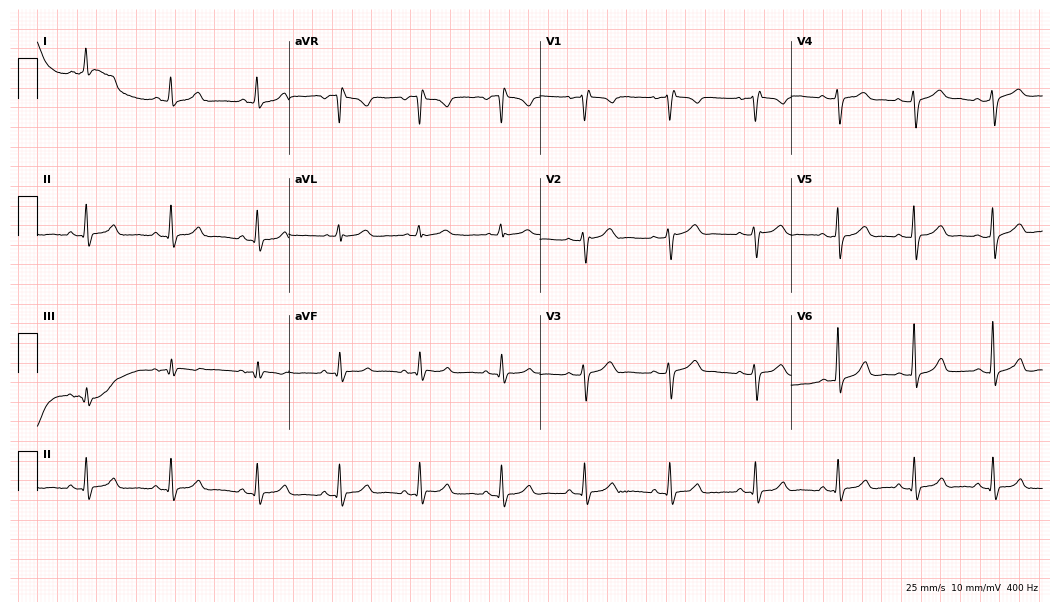
Resting 12-lead electrocardiogram. Patient: a female, 31 years old. Read as a normal ECG.